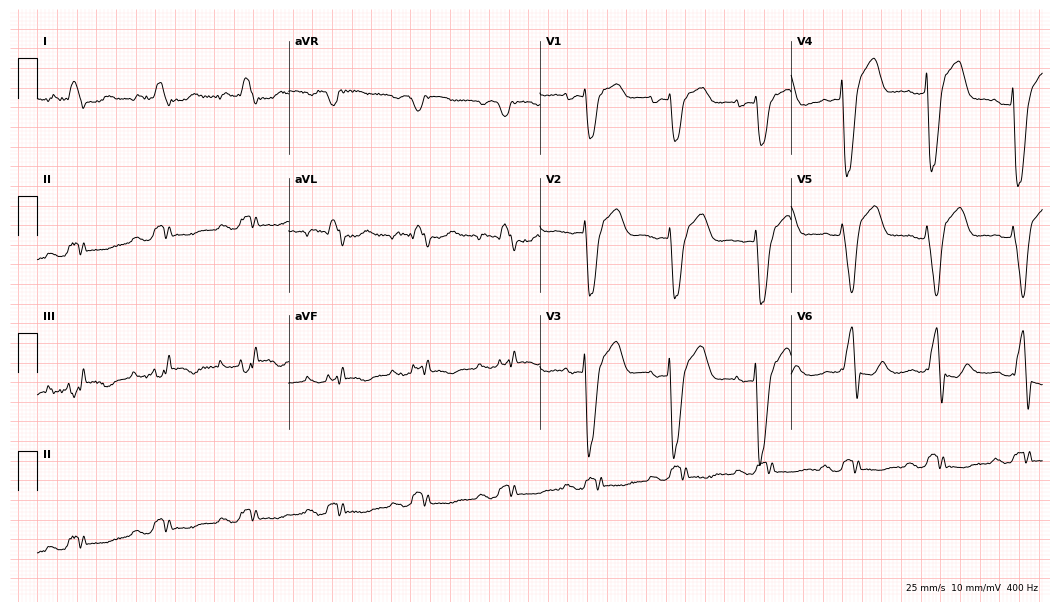
Standard 12-lead ECG recorded from a female patient, 75 years old (10.2-second recording at 400 Hz). The tracing shows left bundle branch block (LBBB).